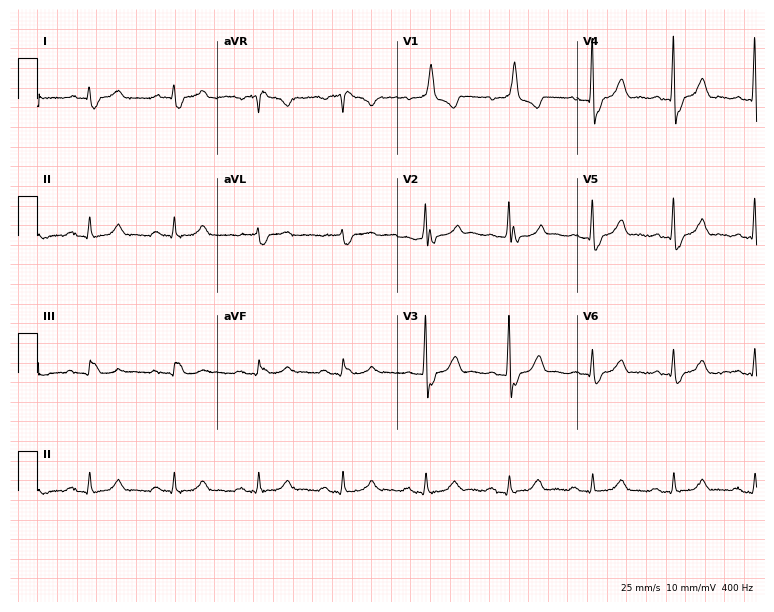
12-lead ECG (7.3-second recording at 400 Hz) from a man, 78 years old. Findings include right bundle branch block.